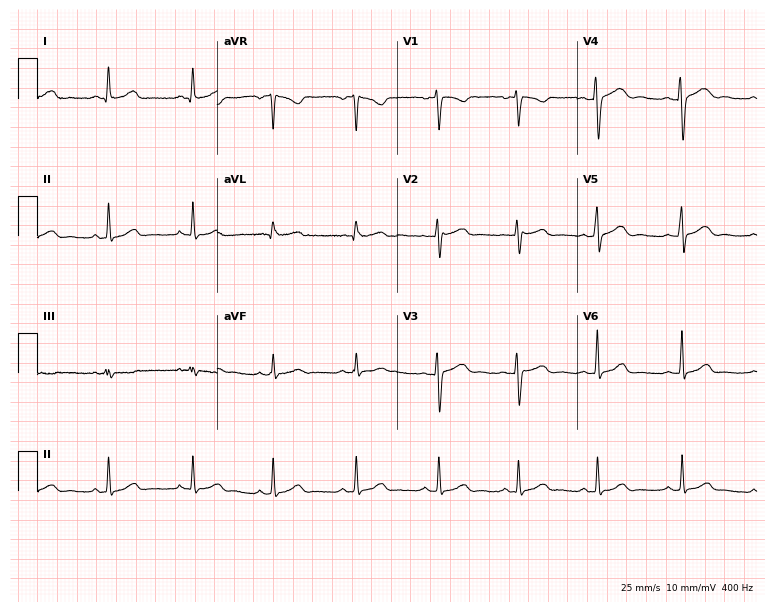
Standard 12-lead ECG recorded from a 35-year-old woman. Read as a normal ECG.